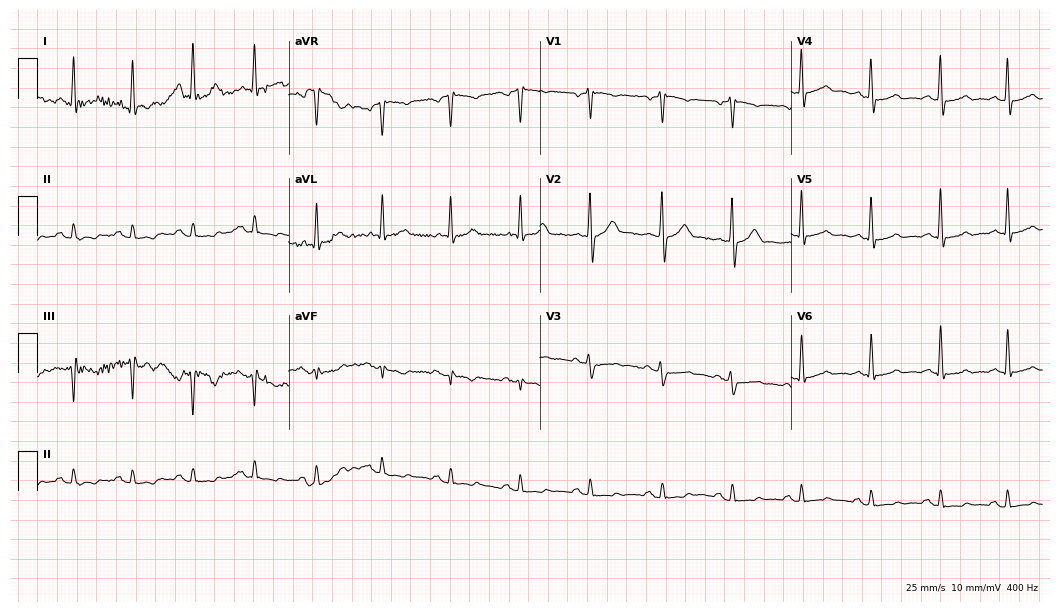
ECG (10.2-second recording at 400 Hz) — a male, 64 years old. Labelled as a normal ECG.